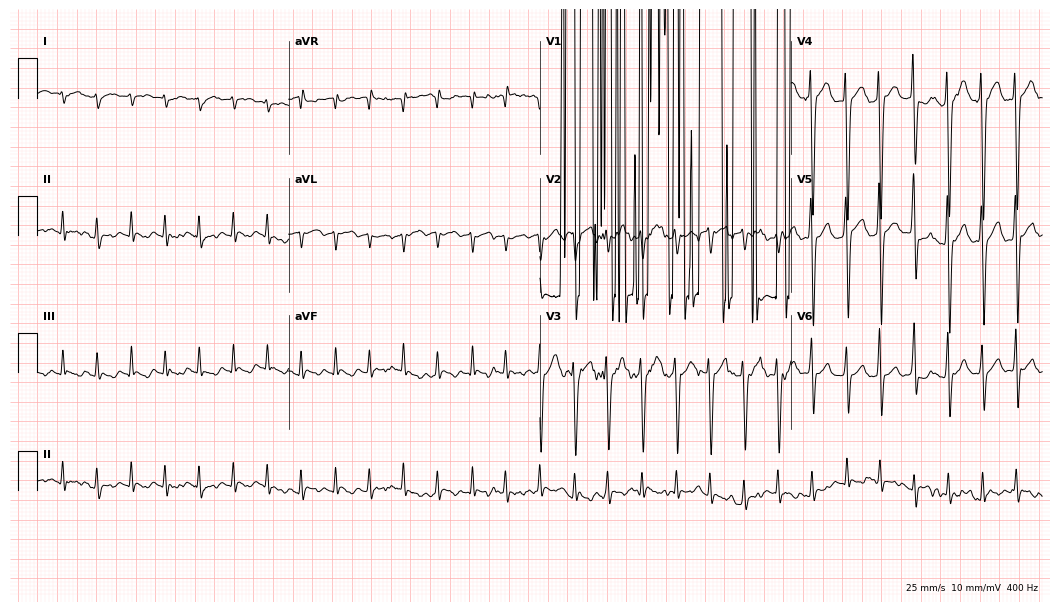
Resting 12-lead electrocardiogram (10.2-second recording at 400 Hz). Patient: a 69-year-old man. None of these six findings is recorded: first-degree AV block, right bundle branch block, left bundle branch block, sinus bradycardia, atrial fibrillation, sinus tachycardia. Only these six findings were labelled.